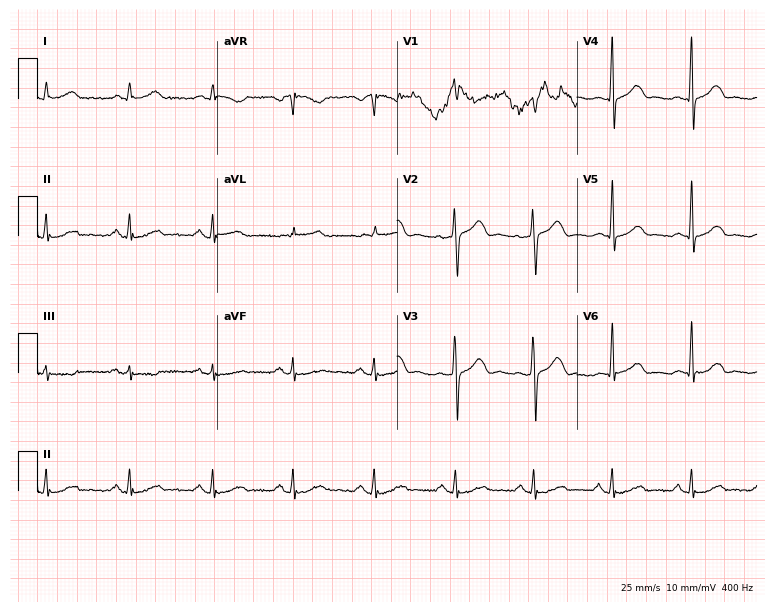
12-lead ECG from a 43-year-old female. Labelled as a normal ECG.